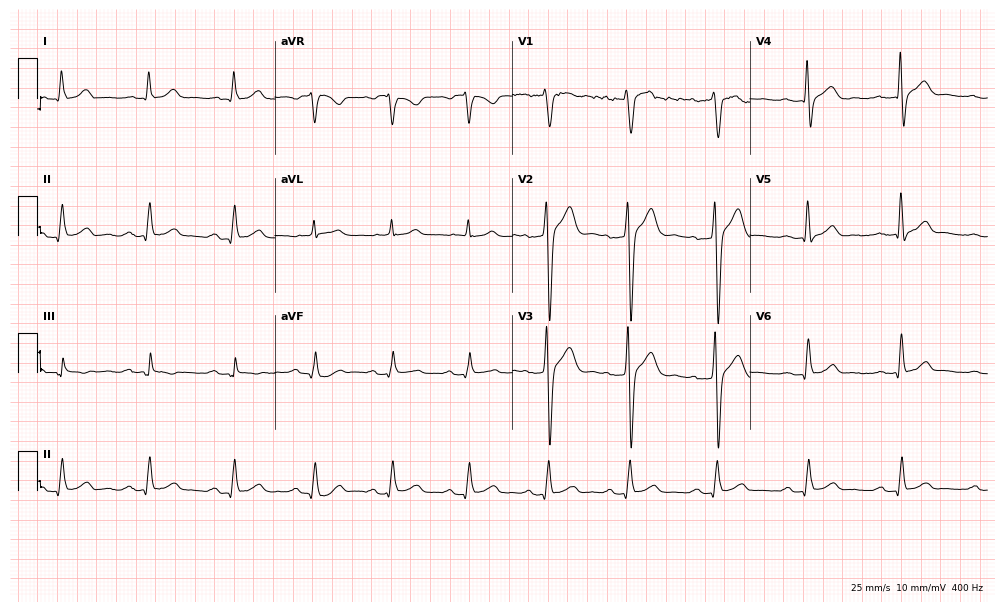
12-lead ECG from a 37-year-old man. Shows first-degree AV block.